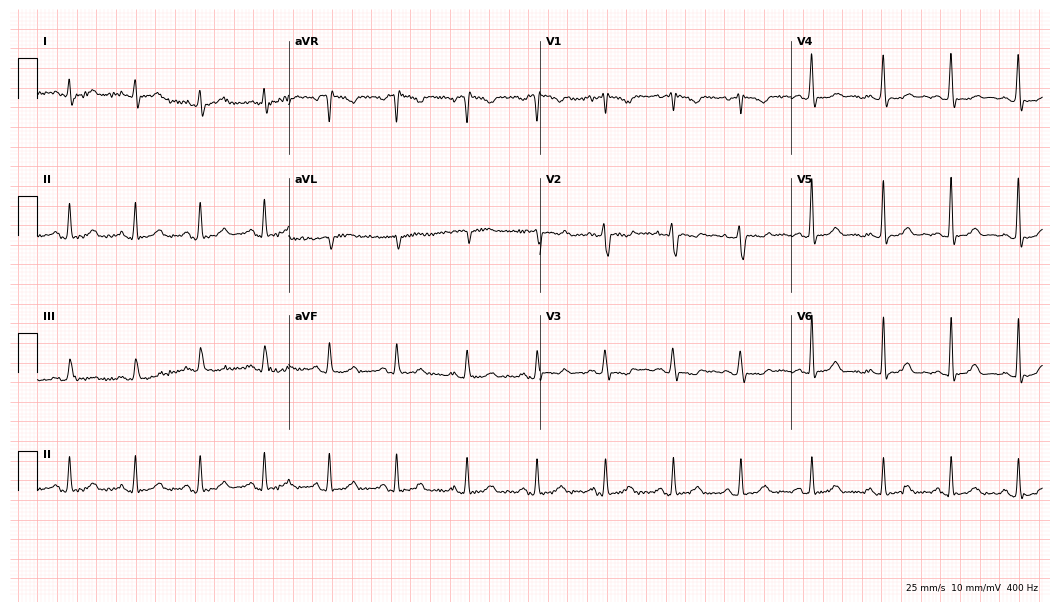
12-lead ECG (10.2-second recording at 400 Hz) from a 31-year-old female. Labelled as a normal ECG.